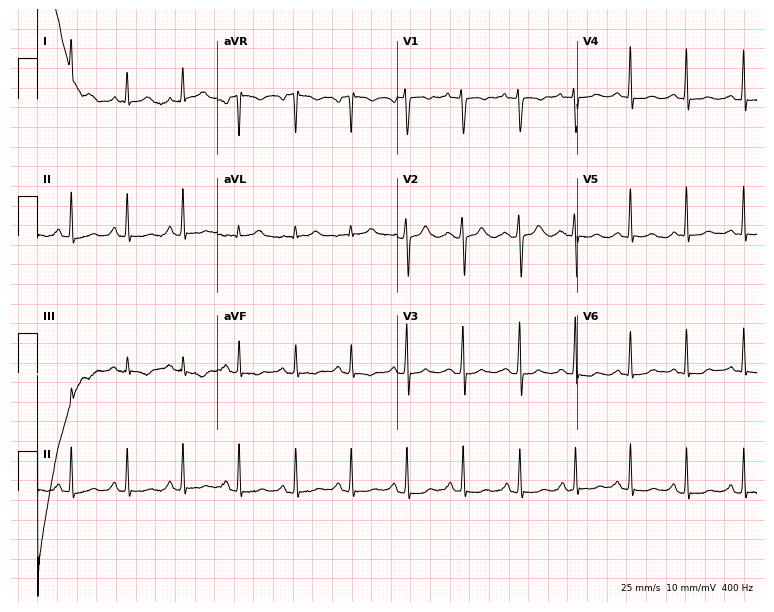
12-lead ECG from a 22-year-old female. Screened for six findings — first-degree AV block, right bundle branch block, left bundle branch block, sinus bradycardia, atrial fibrillation, sinus tachycardia — none is recorded.